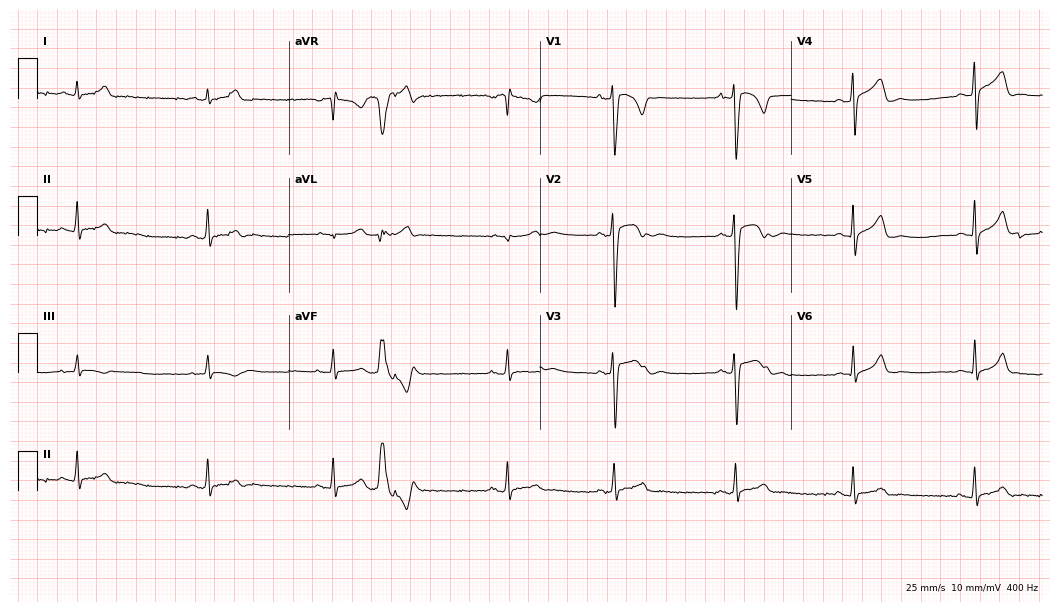
Standard 12-lead ECG recorded from a 19-year-old male (10.2-second recording at 400 Hz). None of these six findings is recorded: first-degree AV block, right bundle branch block, left bundle branch block, sinus bradycardia, atrial fibrillation, sinus tachycardia. Other findings, if any, are not listed.